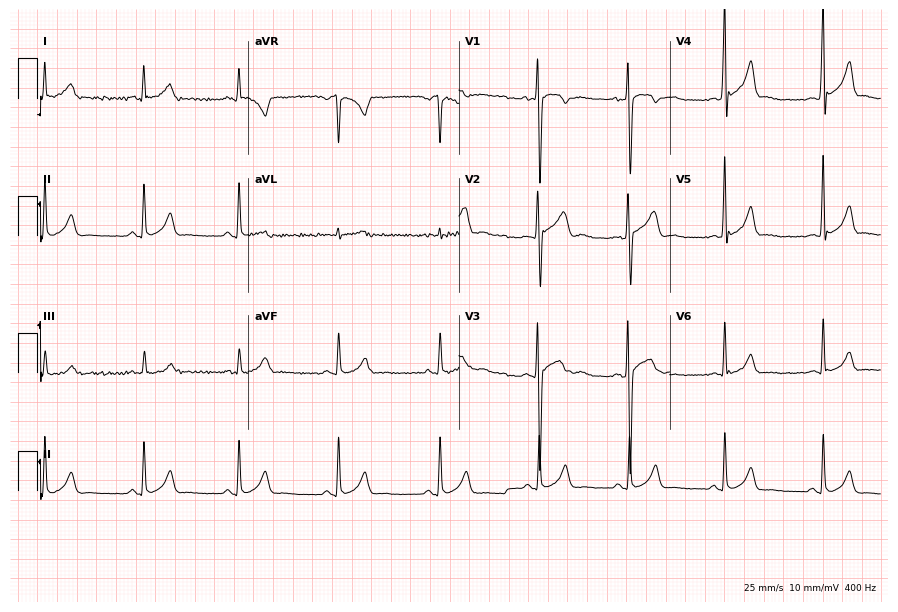
Electrocardiogram (8.6-second recording at 400 Hz), a 17-year-old man. Overall reading on record: normal ECG.